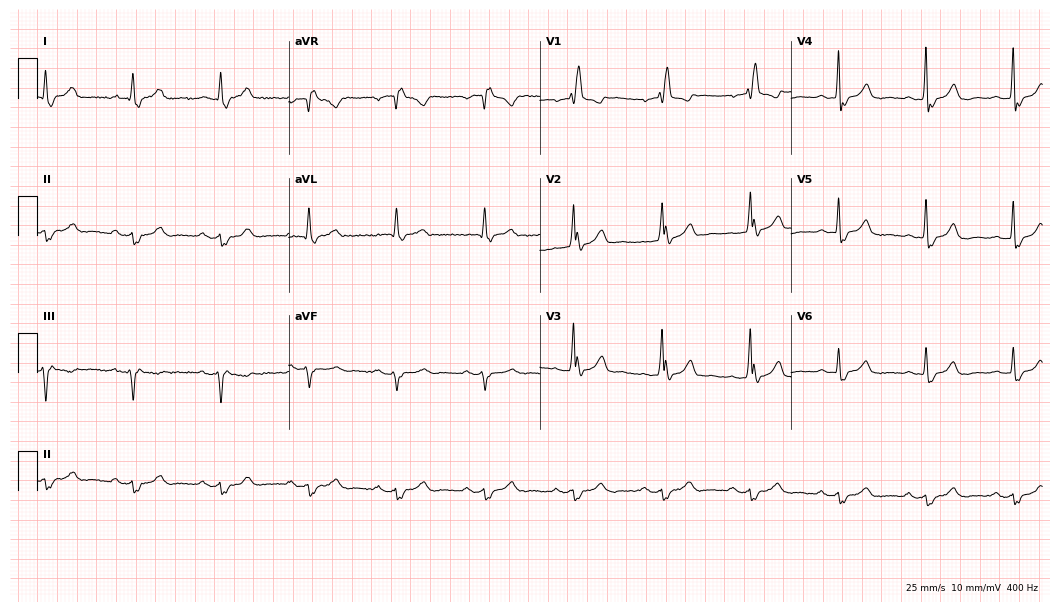
Electrocardiogram (10.2-second recording at 400 Hz), a male, 76 years old. Interpretation includes right bundle branch block (RBBB).